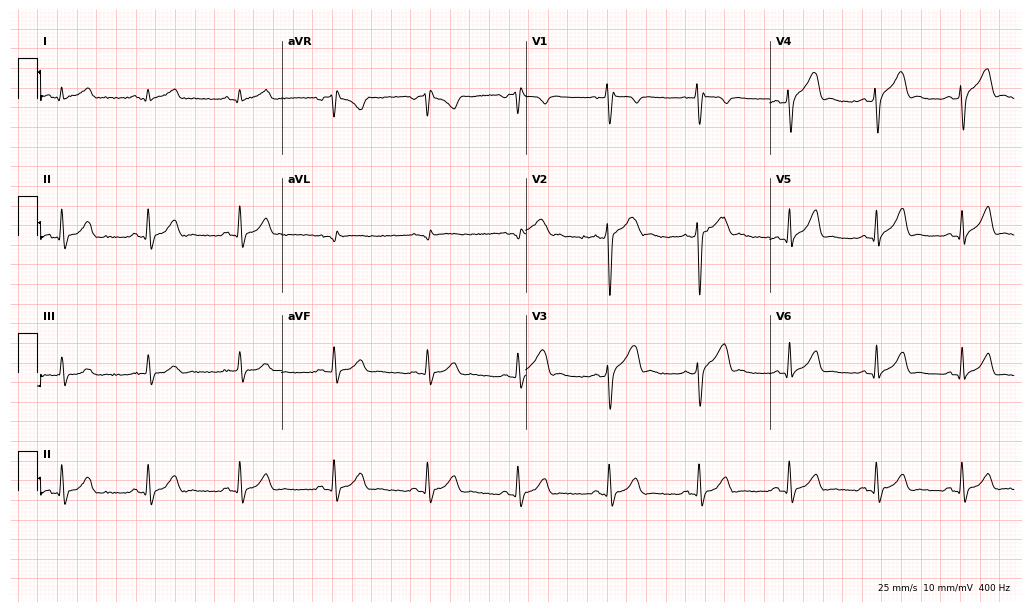
12-lead ECG from a male, 21 years old. No first-degree AV block, right bundle branch block, left bundle branch block, sinus bradycardia, atrial fibrillation or sinus tachycardia recorded for this tracing. Only these six findings were labelled.